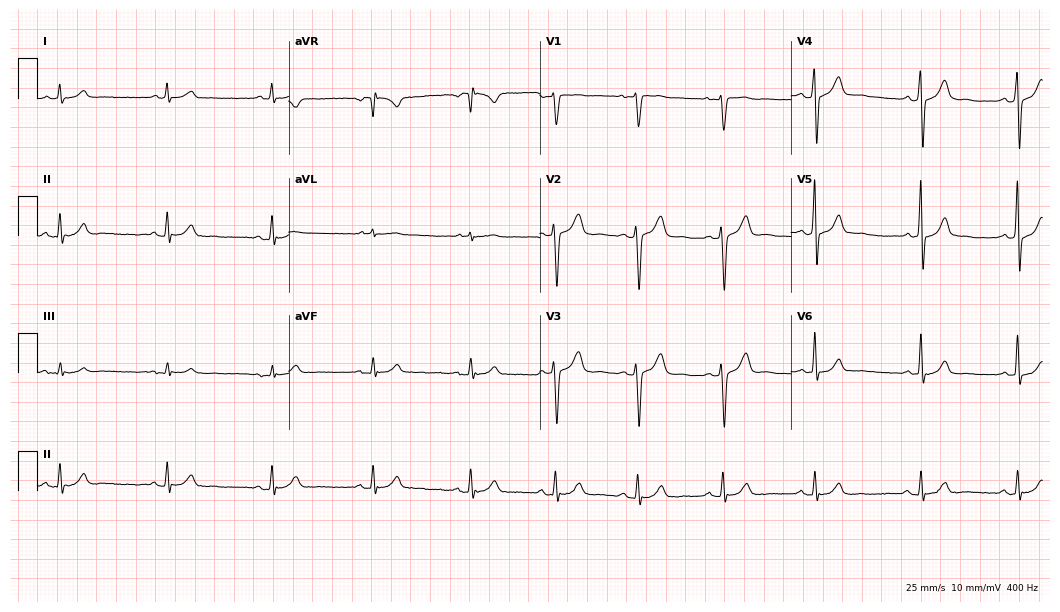
12-lead ECG (10.2-second recording at 400 Hz) from a 62-year-old male patient. Screened for six findings — first-degree AV block, right bundle branch block, left bundle branch block, sinus bradycardia, atrial fibrillation, sinus tachycardia — none is recorded.